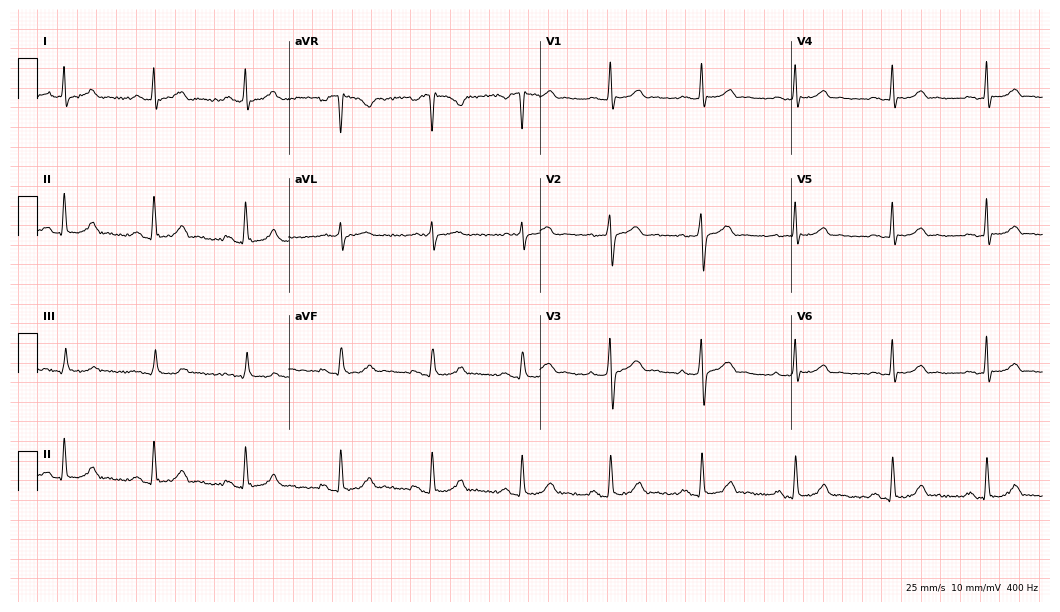
Electrocardiogram (10.2-second recording at 400 Hz), a 47-year-old male. Overall reading on record: normal ECG.